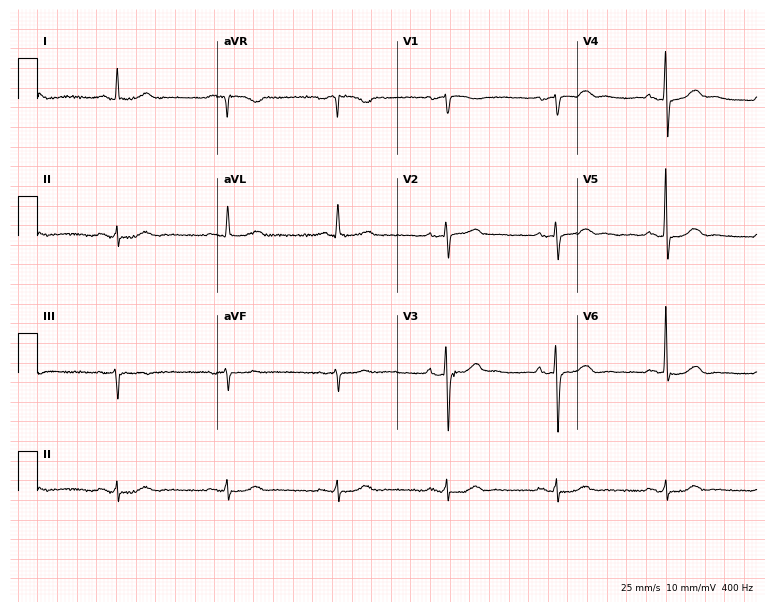
12-lead ECG (7.3-second recording at 400 Hz) from an 82-year-old male. Screened for six findings — first-degree AV block, right bundle branch block (RBBB), left bundle branch block (LBBB), sinus bradycardia, atrial fibrillation (AF), sinus tachycardia — none is recorded.